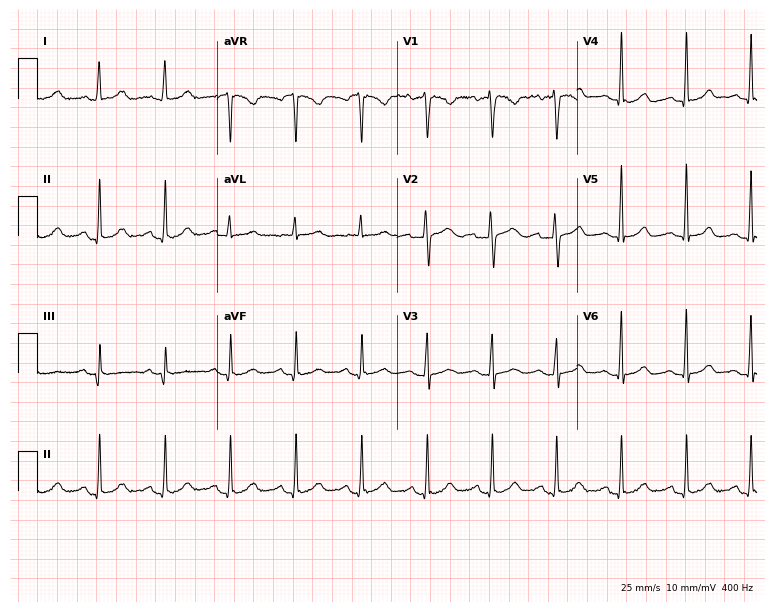
Resting 12-lead electrocardiogram. Patient: a female, 25 years old. Read as a normal ECG.